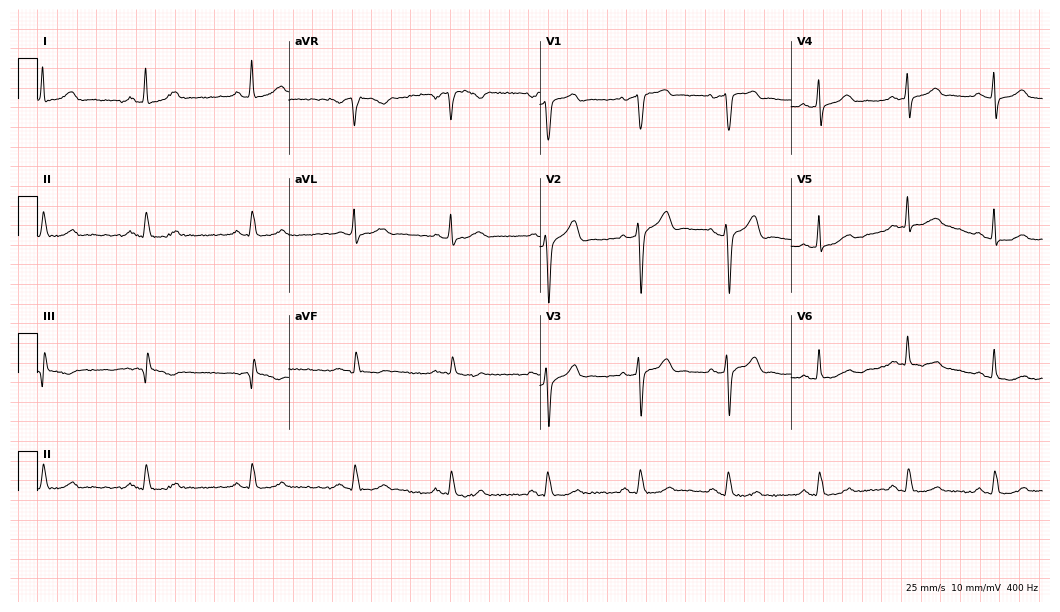
Resting 12-lead electrocardiogram. Patient: a 36-year-old male. Read as a normal ECG.